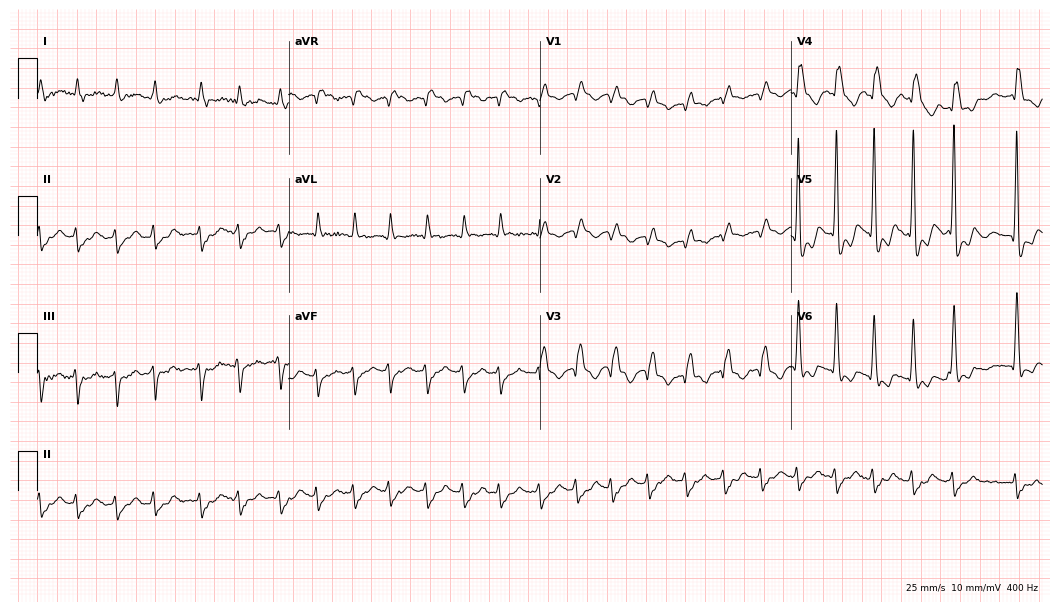
ECG — an 82-year-old male. Findings include right bundle branch block, atrial fibrillation.